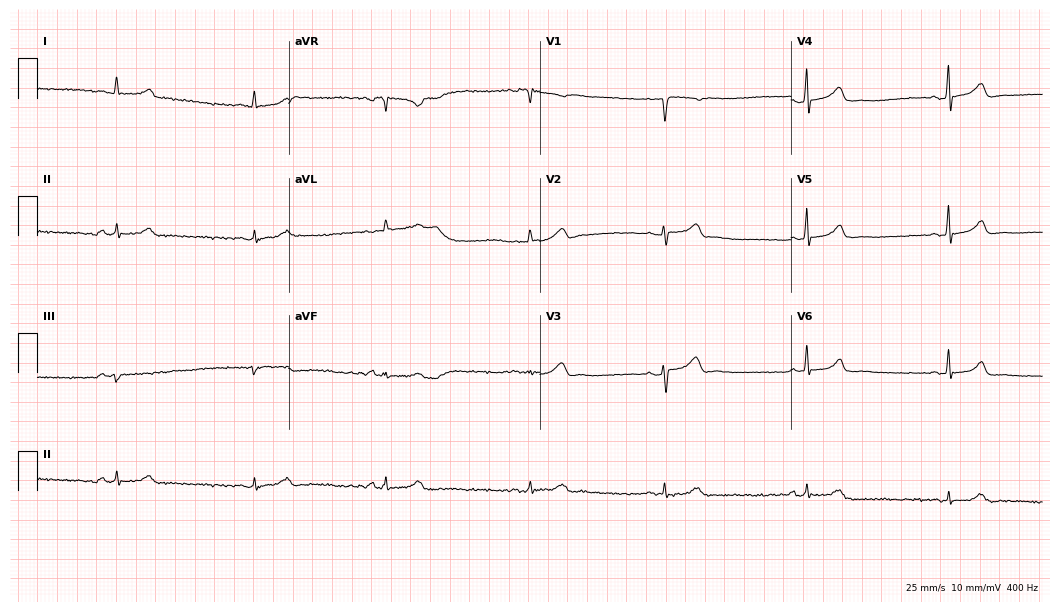
Resting 12-lead electrocardiogram. Patient: a 27-year-old woman. None of these six findings is recorded: first-degree AV block, right bundle branch block, left bundle branch block, sinus bradycardia, atrial fibrillation, sinus tachycardia.